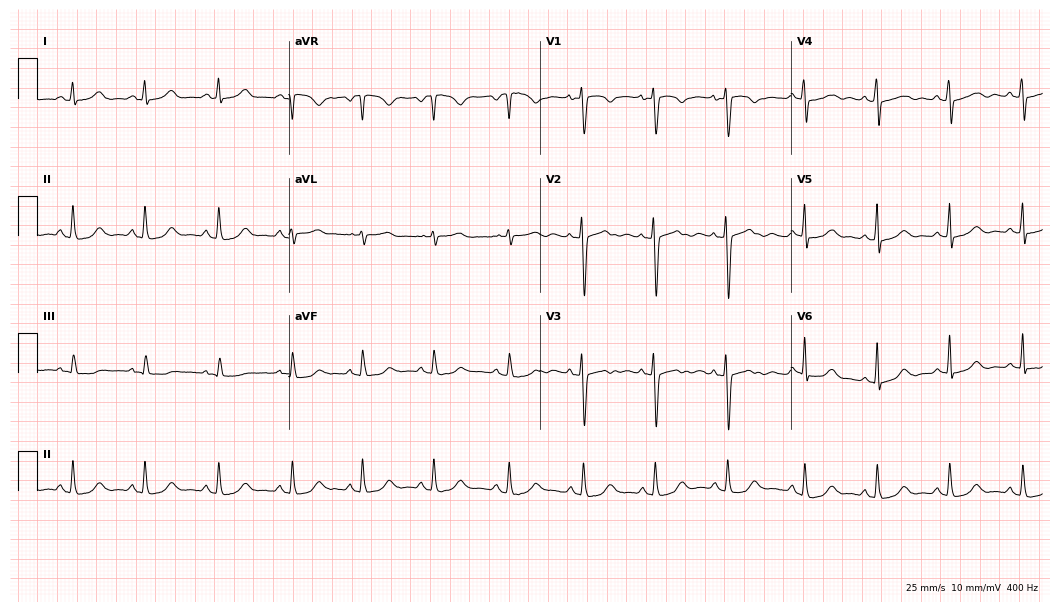
Electrocardiogram, a 27-year-old woman. Overall reading on record: normal ECG.